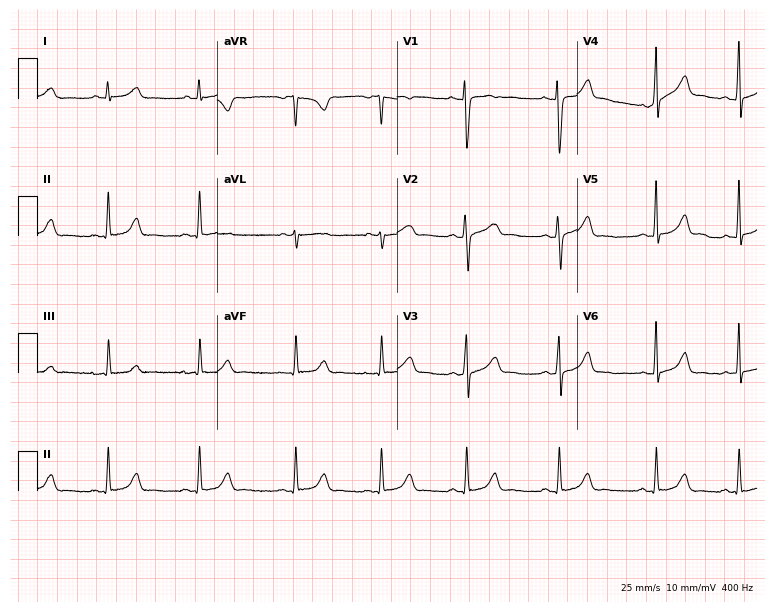
Standard 12-lead ECG recorded from a female patient, 19 years old (7.3-second recording at 400 Hz). Read as a normal ECG.